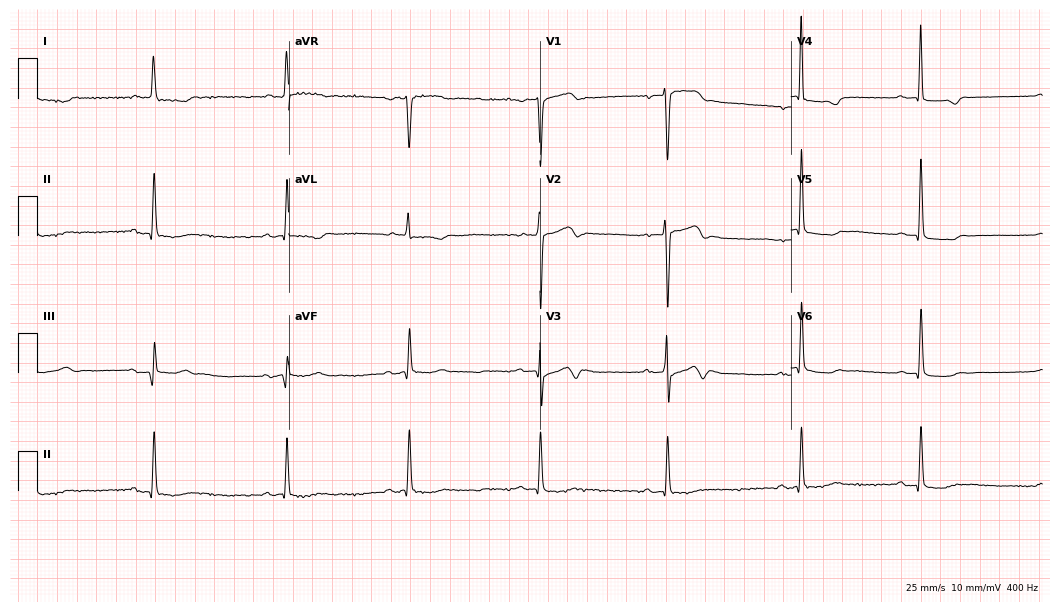
ECG (10.2-second recording at 400 Hz) — a female patient, 80 years old. Findings include sinus bradycardia (a sinus rate of 50 beats per minute or less).